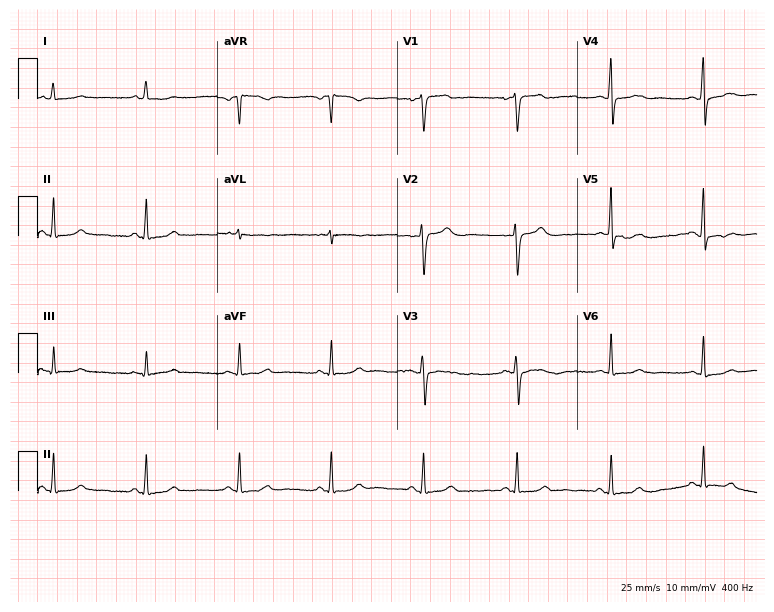
Resting 12-lead electrocardiogram (7.3-second recording at 400 Hz). Patient: a woman, 45 years old. None of these six findings is recorded: first-degree AV block, right bundle branch block, left bundle branch block, sinus bradycardia, atrial fibrillation, sinus tachycardia.